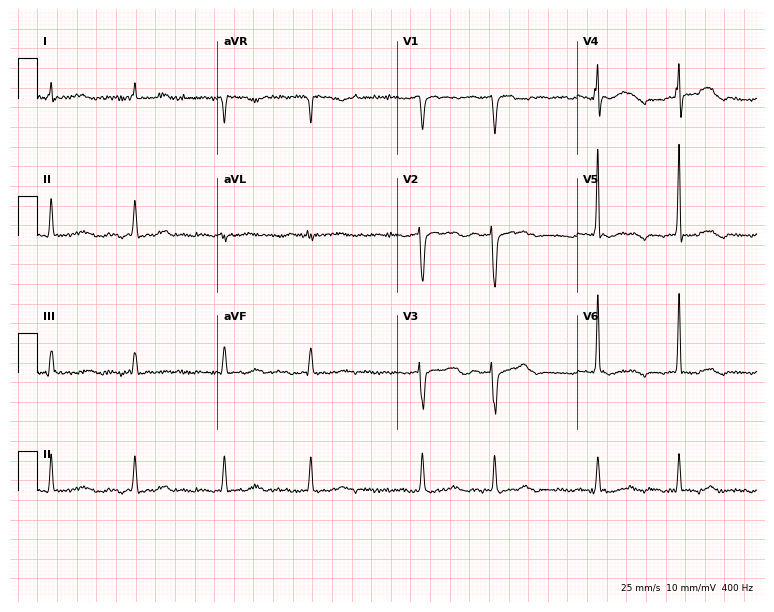
12-lead ECG (7.3-second recording at 400 Hz) from a female patient, 74 years old. Findings include atrial fibrillation (AF).